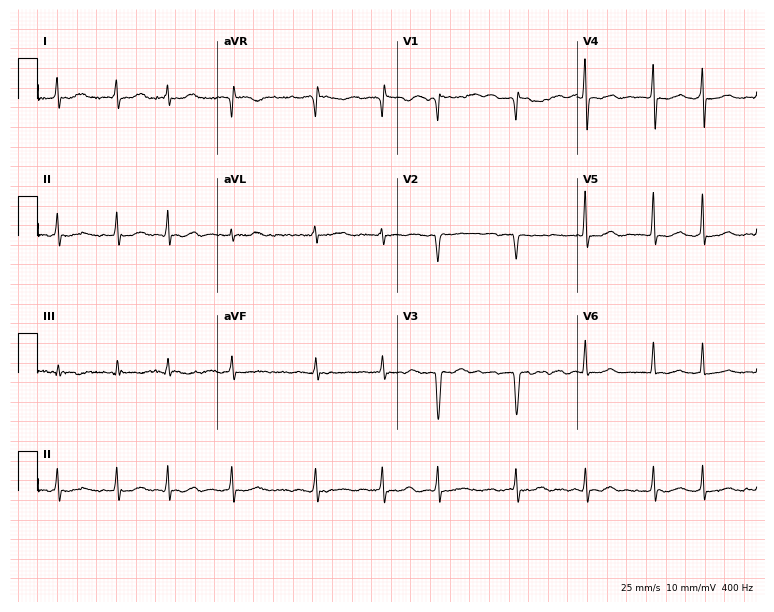
12-lead ECG from a 69-year-old female. Shows atrial fibrillation (AF).